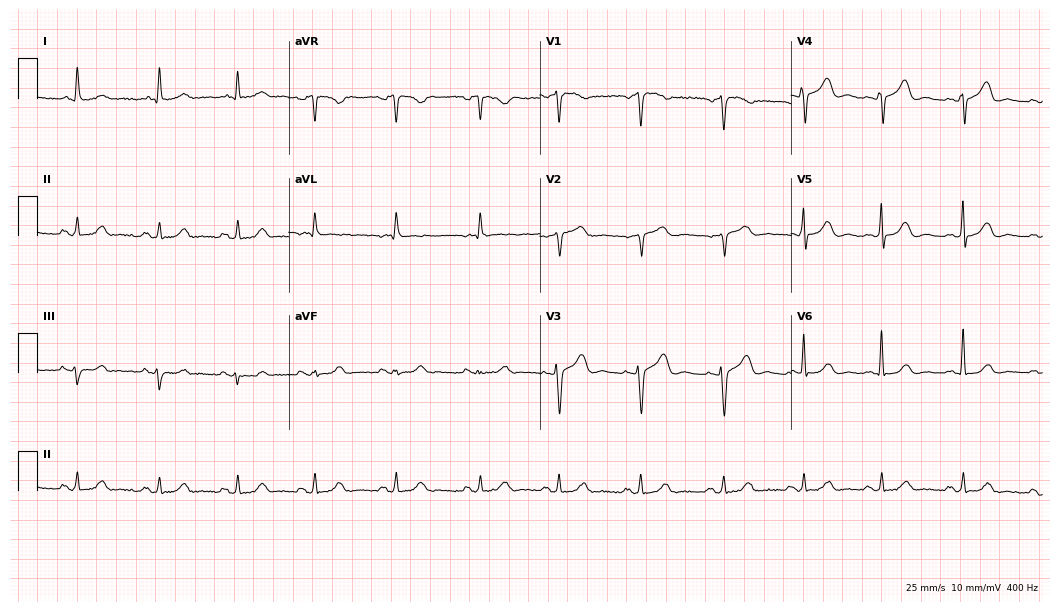
Standard 12-lead ECG recorded from a female patient, 85 years old. Read as a normal ECG.